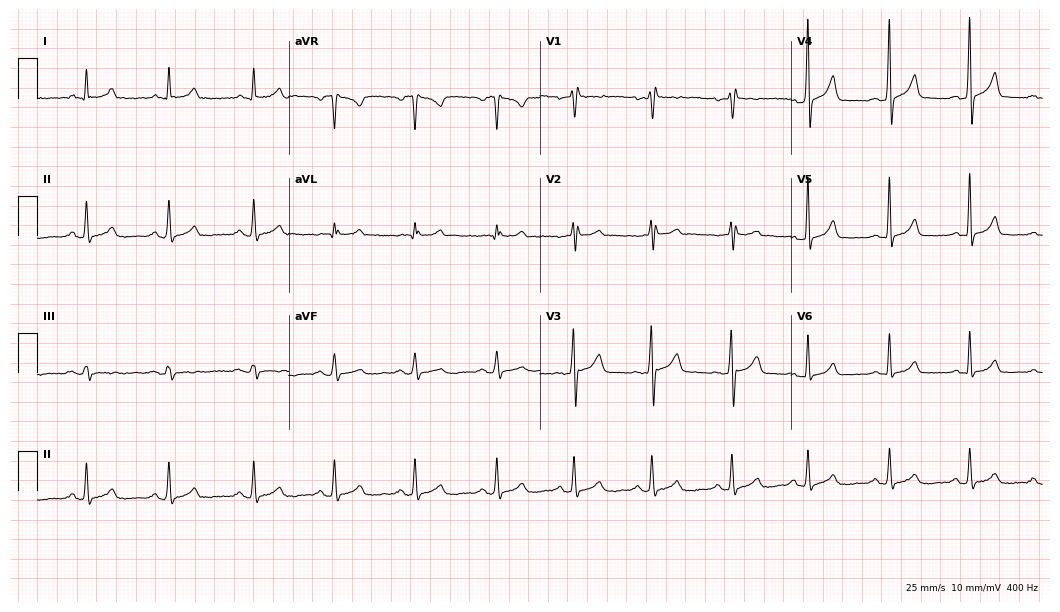
12-lead ECG (10.2-second recording at 400 Hz) from a woman, 51 years old. Labelled as a normal ECG.